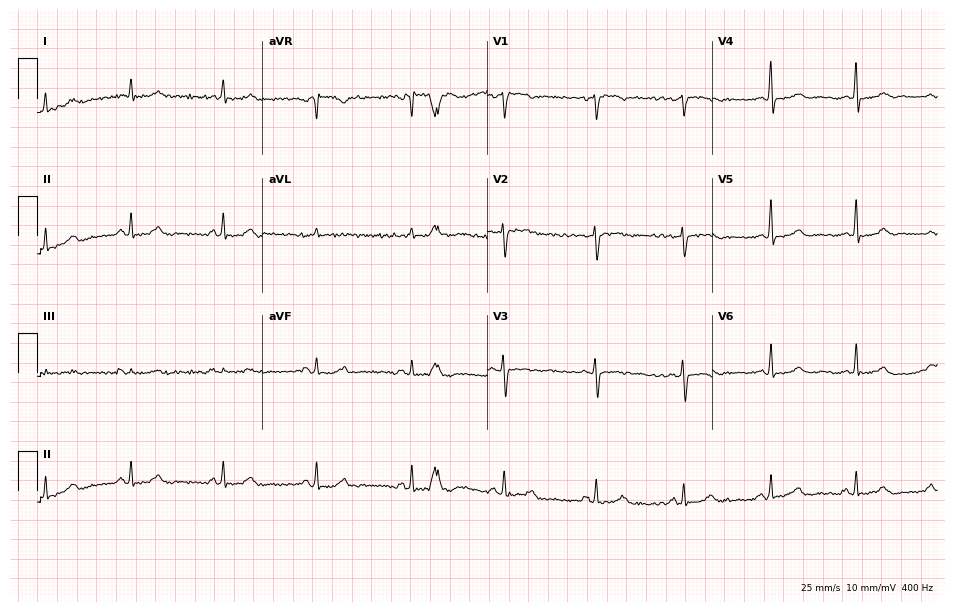
ECG — a 55-year-old female. Labelled as a normal ECG.